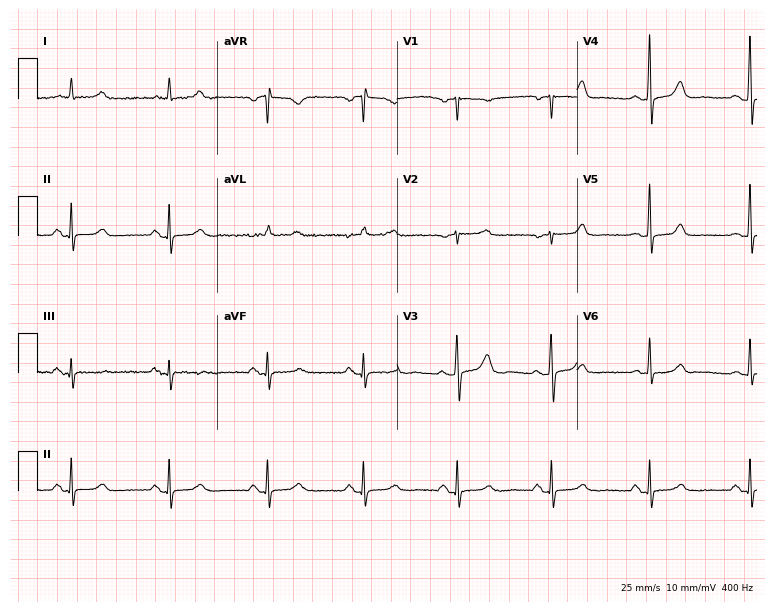
Electrocardiogram (7.3-second recording at 400 Hz), a female patient, 51 years old. Of the six screened findings (first-degree AV block, right bundle branch block (RBBB), left bundle branch block (LBBB), sinus bradycardia, atrial fibrillation (AF), sinus tachycardia), none is recorded. Other findings, if any, are not listed.